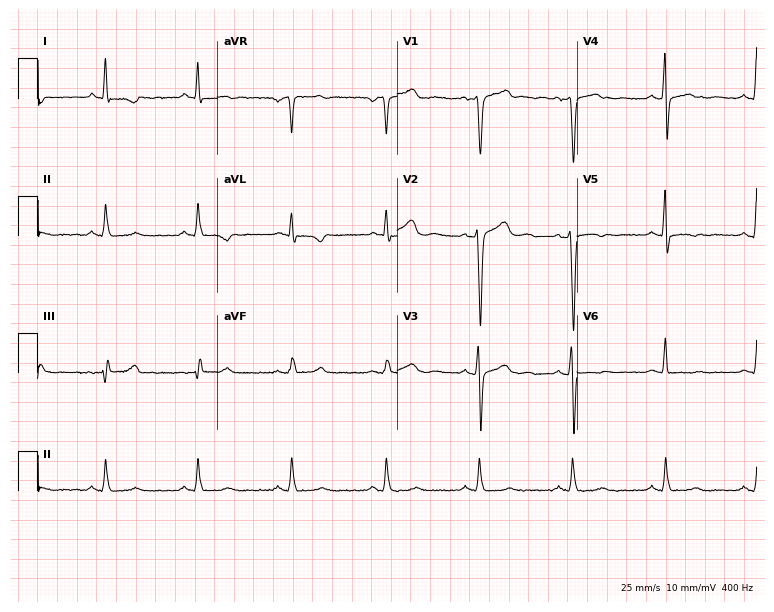
12-lead ECG from a man, 45 years old (7.3-second recording at 400 Hz). No first-degree AV block, right bundle branch block, left bundle branch block, sinus bradycardia, atrial fibrillation or sinus tachycardia recorded for this tracing.